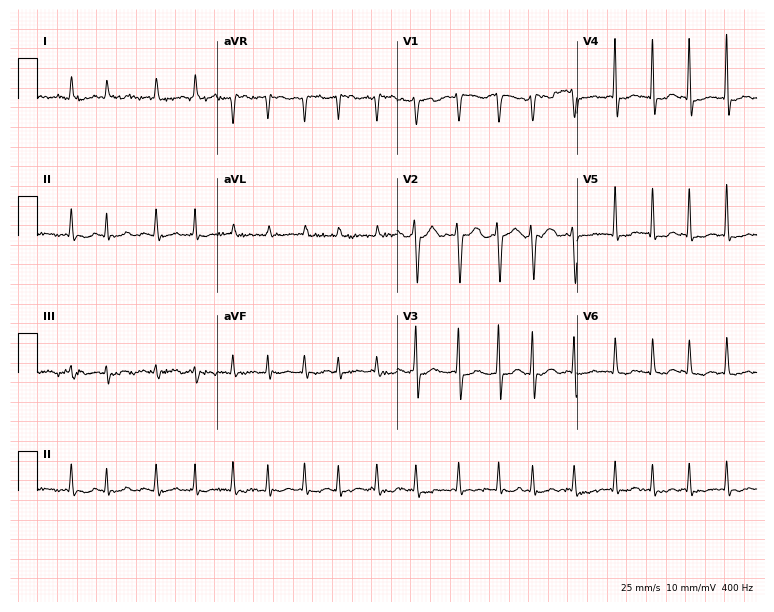
Resting 12-lead electrocardiogram (7.3-second recording at 400 Hz). Patient: an 84-year-old female. The tracing shows atrial fibrillation.